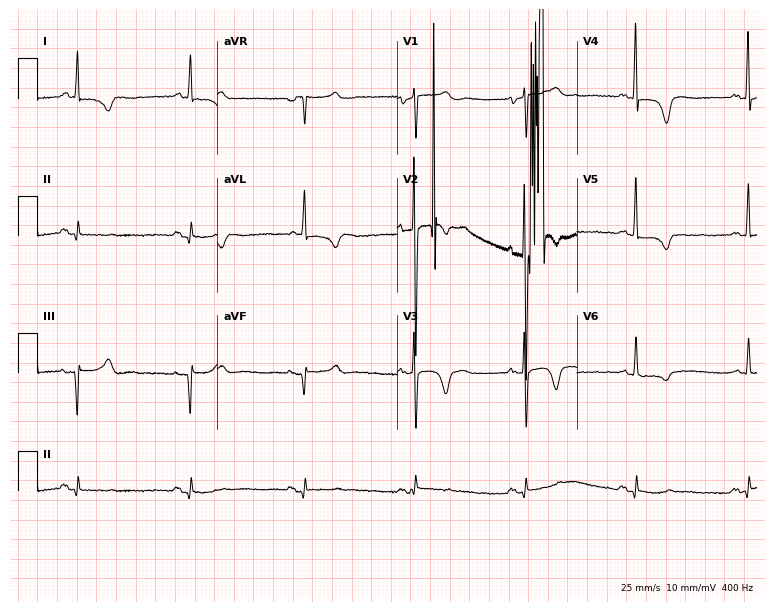
12-lead ECG from a 77-year-old male patient. Screened for six findings — first-degree AV block, right bundle branch block, left bundle branch block, sinus bradycardia, atrial fibrillation, sinus tachycardia — none is recorded.